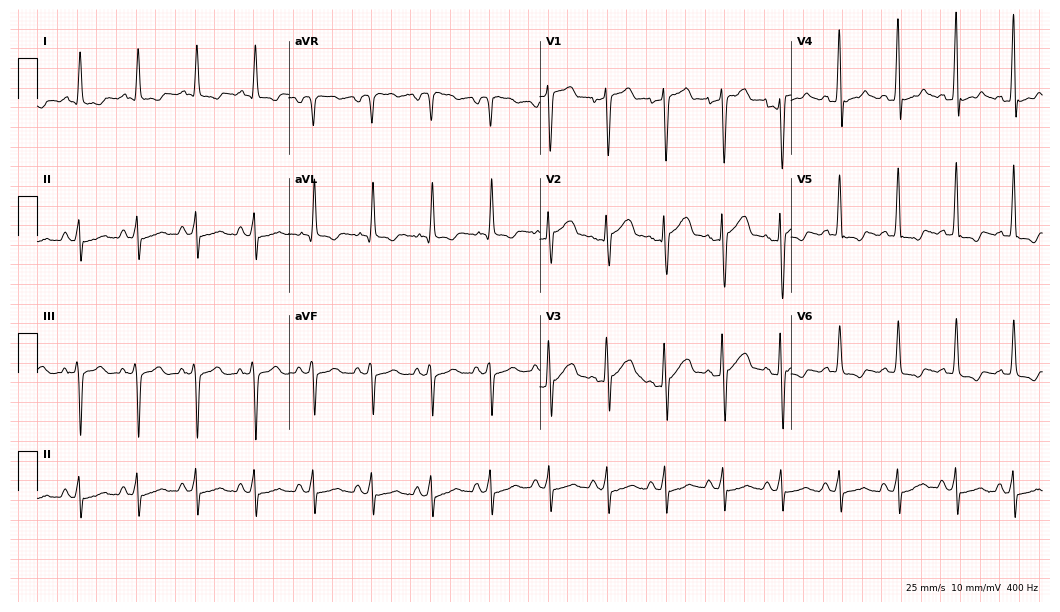
Electrocardiogram (10.2-second recording at 400 Hz), a man, 42 years old. Interpretation includes sinus tachycardia (a sinus rate of 100 beats per minute or more).